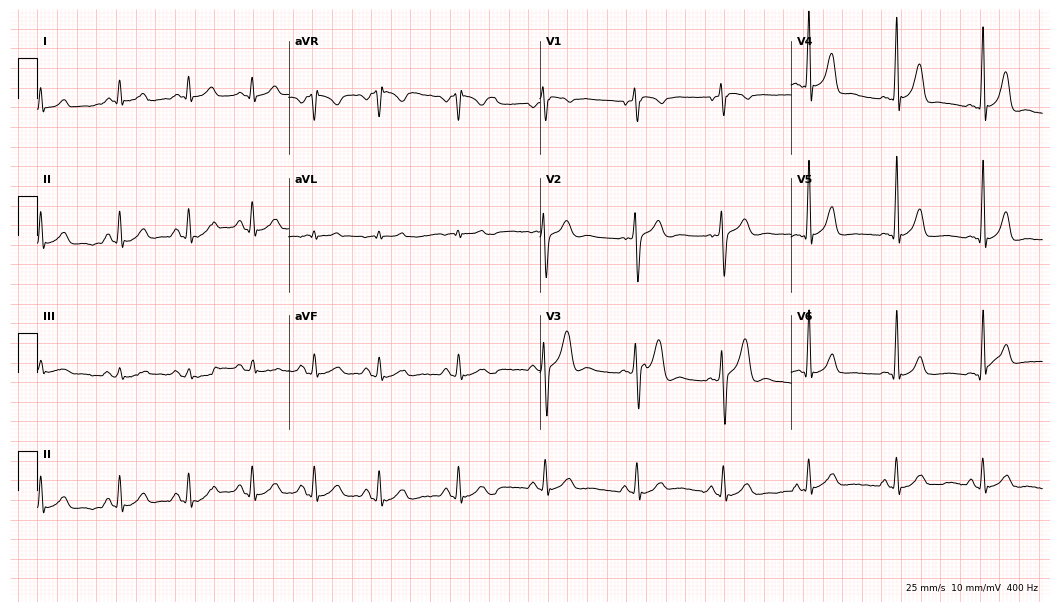
12-lead ECG from a male patient, 23 years old (10.2-second recording at 400 Hz). Recorded interpretation: within normal limits.